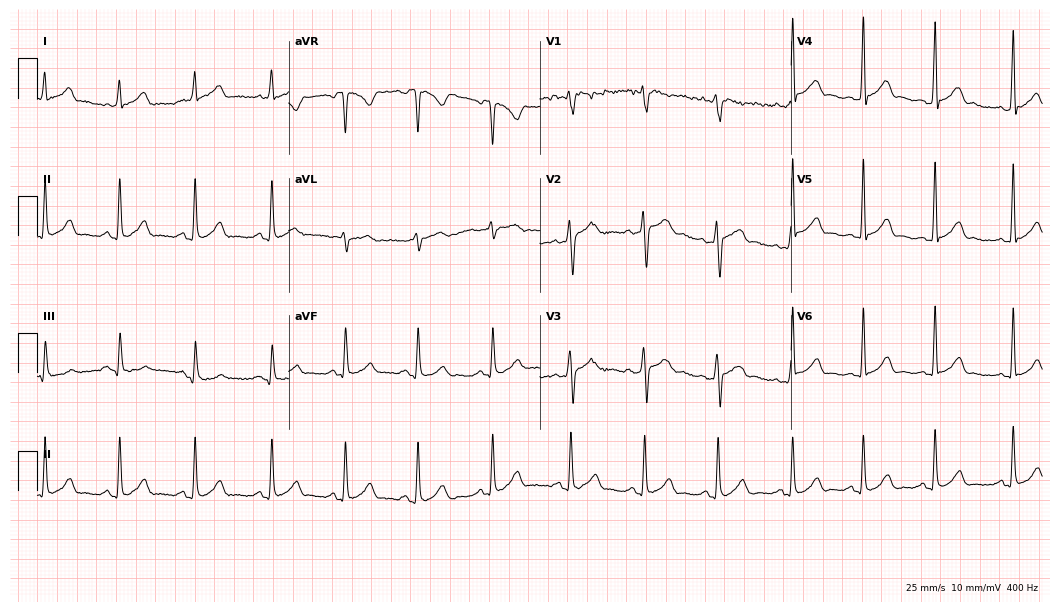
ECG — a man, 27 years old. Screened for six findings — first-degree AV block, right bundle branch block (RBBB), left bundle branch block (LBBB), sinus bradycardia, atrial fibrillation (AF), sinus tachycardia — none is recorded.